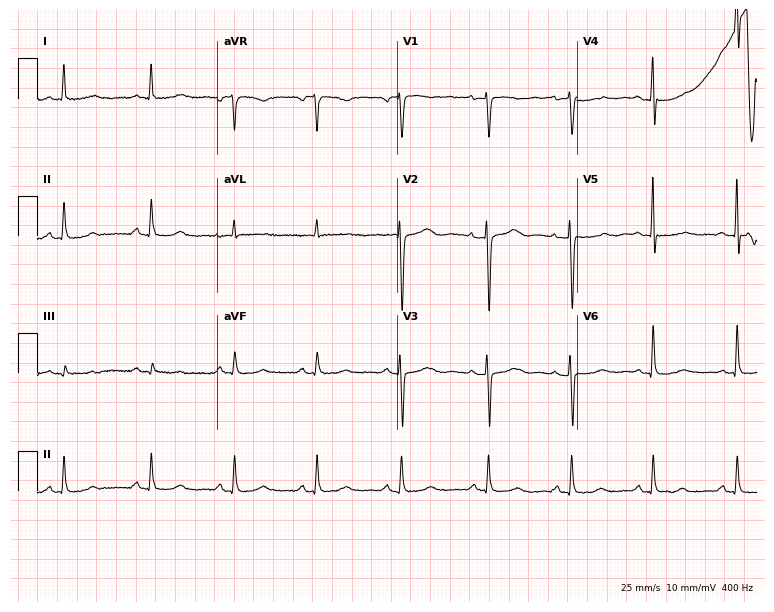
Resting 12-lead electrocardiogram (7.3-second recording at 400 Hz). Patient: a female, 50 years old. None of these six findings is recorded: first-degree AV block, right bundle branch block, left bundle branch block, sinus bradycardia, atrial fibrillation, sinus tachycardia. Findings outside these six are not listed.